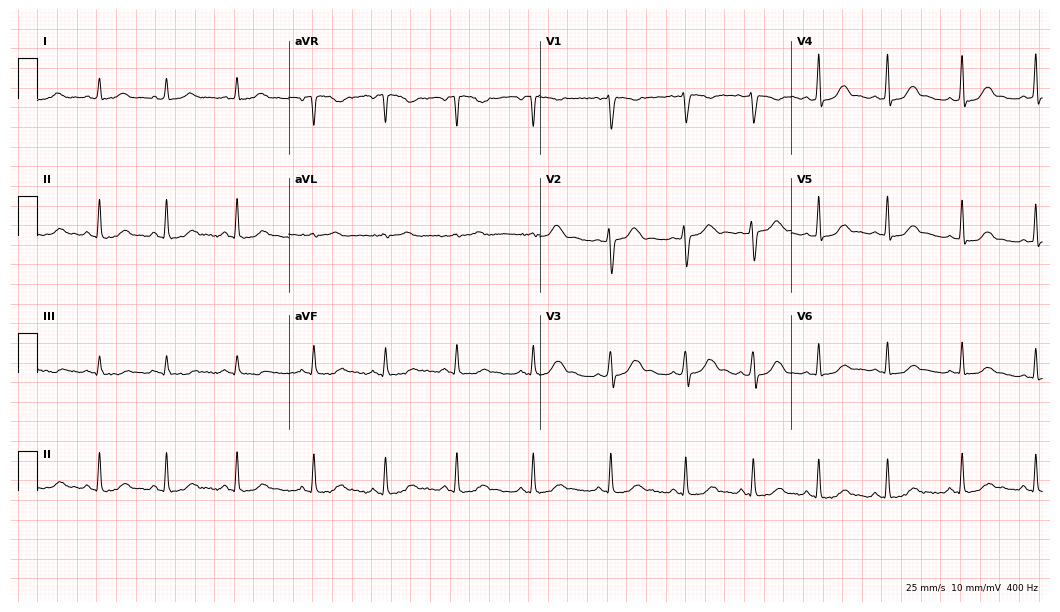
12-lead ECG from a female, 31 years old. Labelled as a normal ECG.